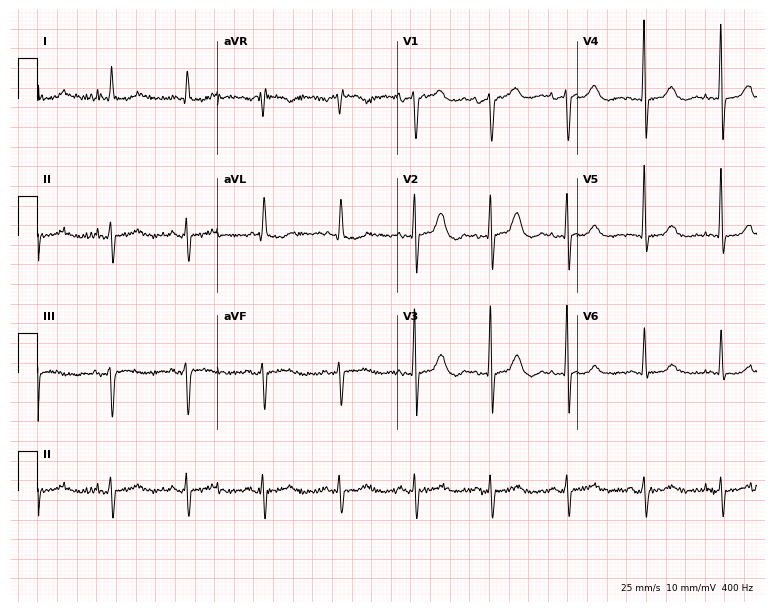
12-lead ECG from a male, 74 years old. No first-degree AV block, right bundle branch block, left bundle branch block, sinus bradycardia, atrial fibrillation or sinus tachycardia recorded for this tracing. Only these six findings were labelled.